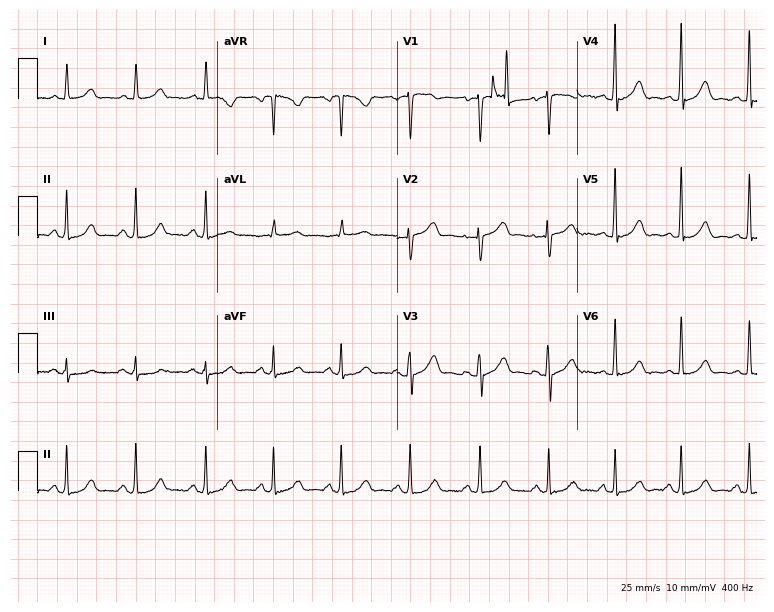
Electrocardiogram, a female, 61 years old. Overall reading on record: normal ECG.